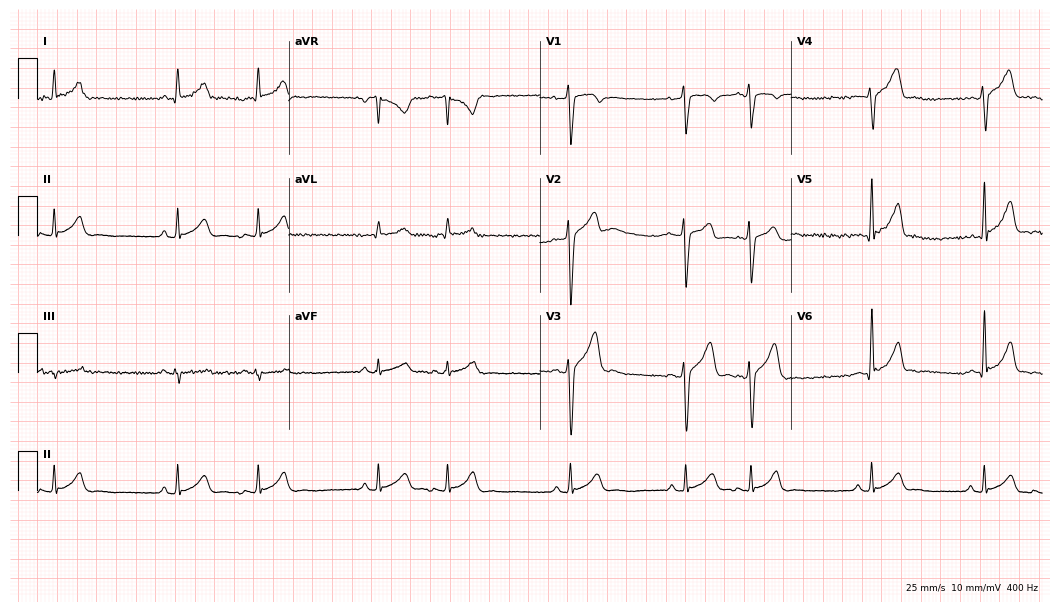
12-lead ECG from a male patient, 22 years old (10.2-second recording at 400 Hz). No first-degree AV block, right bundle branch block (RBBB), left bundle branch block (LBBB), sinus bradycardia, atrial fibrillation (AF) or sinus tachycardia recorded for this tracing. Other findings, if any, are not listed.